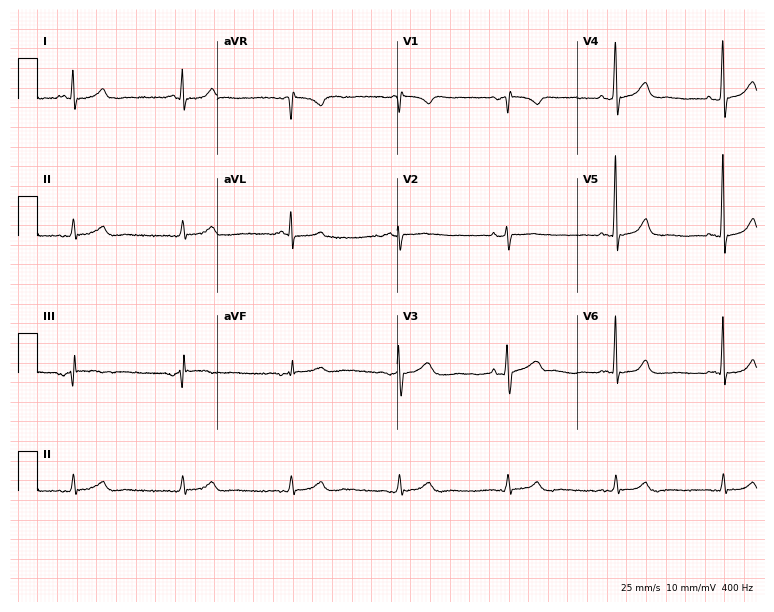
Electrocardiogram (7.3-second recording at 400 Hz), an 84-year-old man. Overall reading on record: normal ECG.